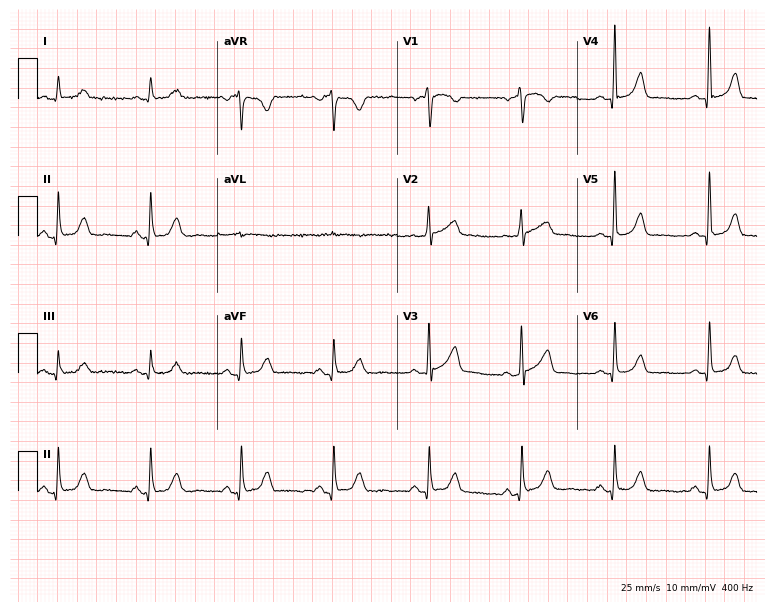
ECG — a 71-year-old female. Labelled as a normal ECG.